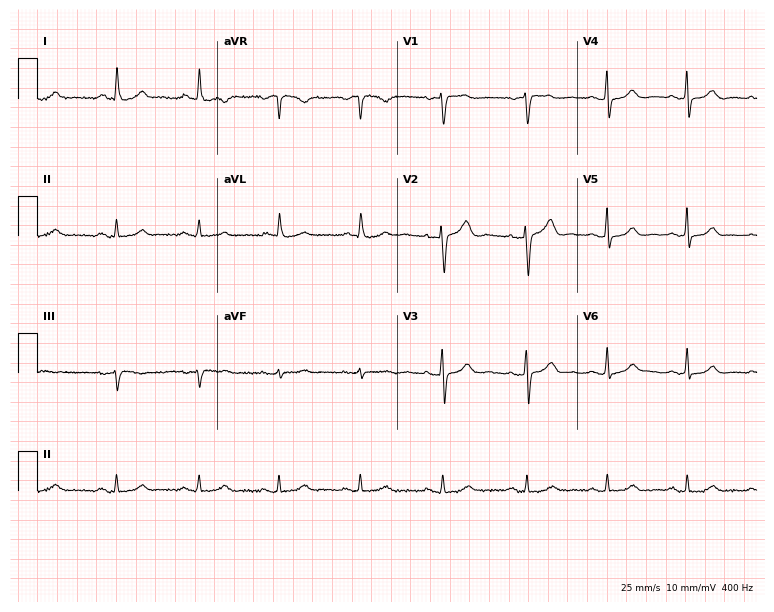
Resting 12-lead electrocardiogram. Patient: a female, 47 years old. None of these six findings is recorded: first-degree AV block, right bundle branch block, left bundle branch block, sinus bradycardia, atrial fibrillation, sinus tachycardia.